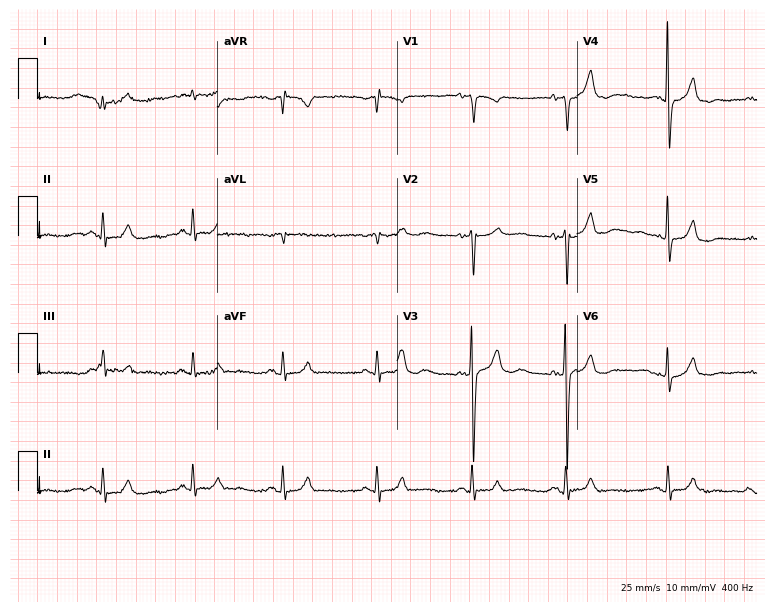
12-lead ECG (7.3-second recording at 400 Hz) from a 76-year-old female. Screened for six findings — first-degree AV block, right bundle branch block (RBBB), left bundle branch block (LBBB), sinus bradycardia, atrial fibrillation (AF), sinus tachycardia — none is recorded. Other findings, if any, are not listed.